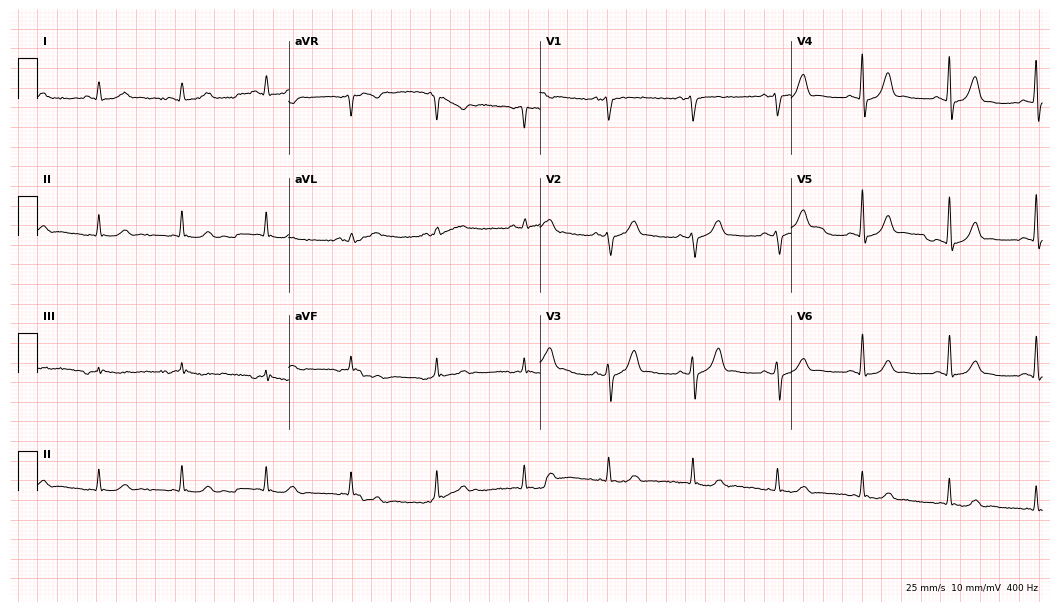
12-lead ECG from a 68-year-old male. Labelled as a normal ECG.